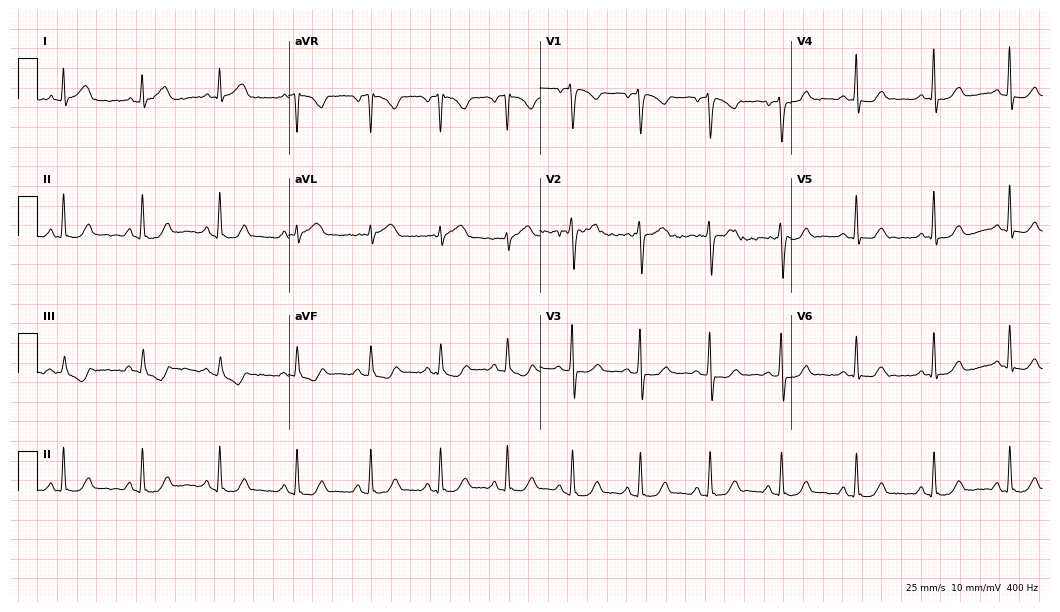
12-lead ECG from a 49-year-old female patient. Screened for six findings — first-degree AV block, right bundle branch block, left bundle branch block, sinus bradycardia, atrial fibrillation, sinus tachycardia — none is recorded. Other findings, if any, are not listed.